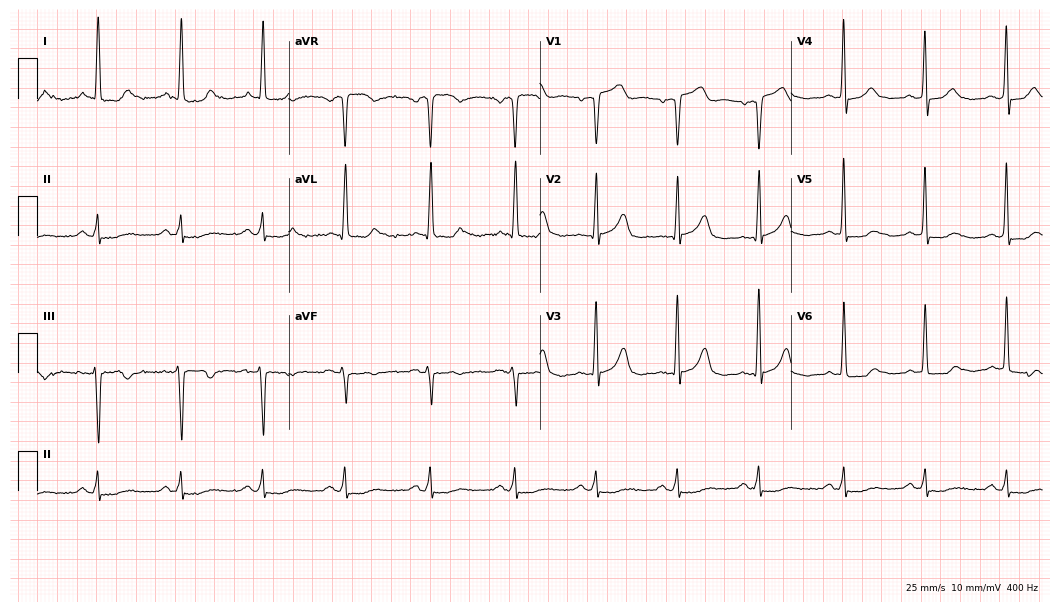
Standard 12-lead ECG recorded from a female patient, 62 years old (10.2-second recording at 400 Hz). None of these six findings is recorded: first-degree AV block, right bundle branch block (RBBB), left bundle branch block (LBBB), sinus bradycardia, atrial fibrillation (AF), sinus tachycardia.